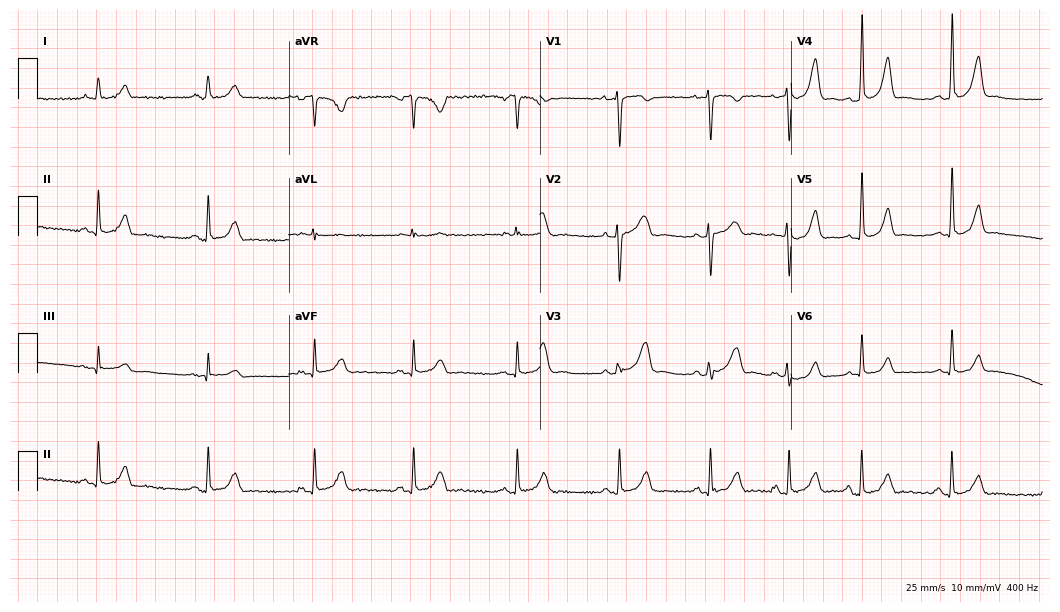
Standard 12-lead ECG recorded from a 28-year-old female patient (10.2-second recording at 400 Hz). Read as a normal ECG.